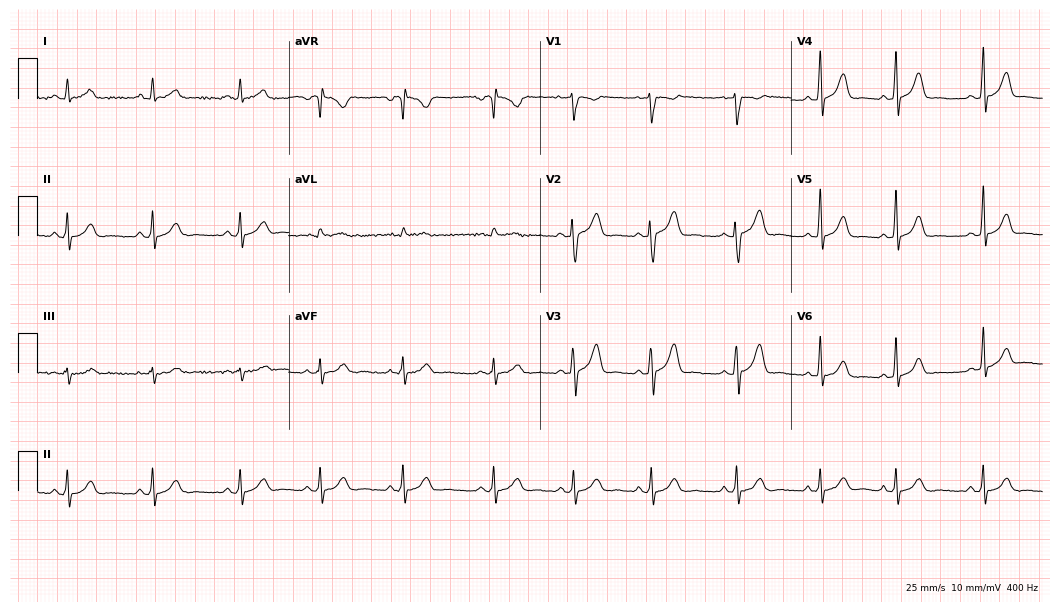
Standard 12-lead ECG recorded from a female, 30 years old (10.2-second recording at 400 Hz). Read as a normal ECG.